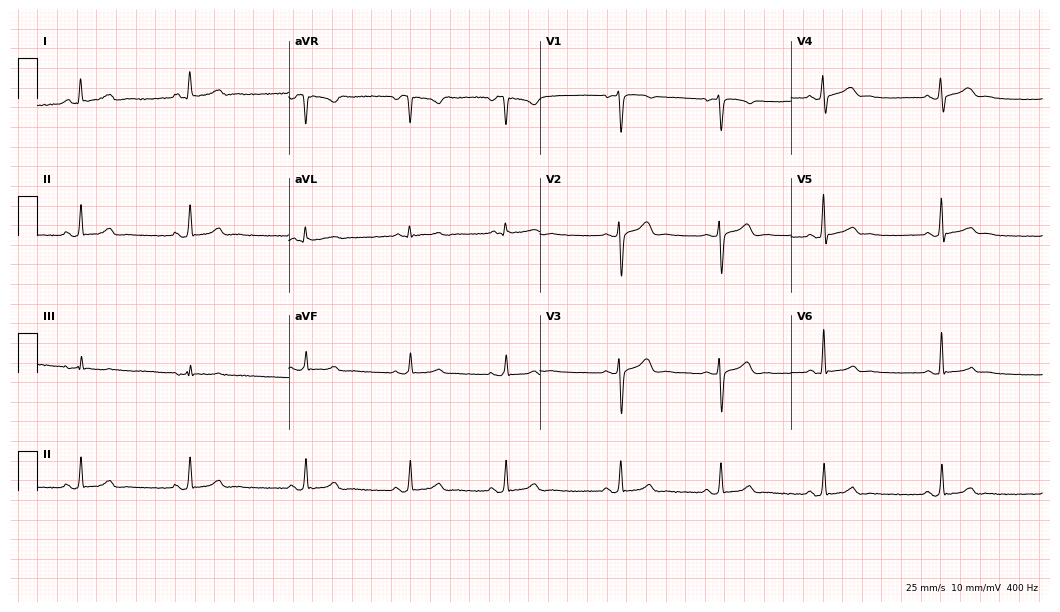
Resting 12-lead electrocardiogram. Patient: a 23-year-old woman. None of these six findings is recorded: first-degree AV block, right bundle branch block, left bundle branch block, sinus bradycardia, atrial fibrillation, sinus tachycardia.